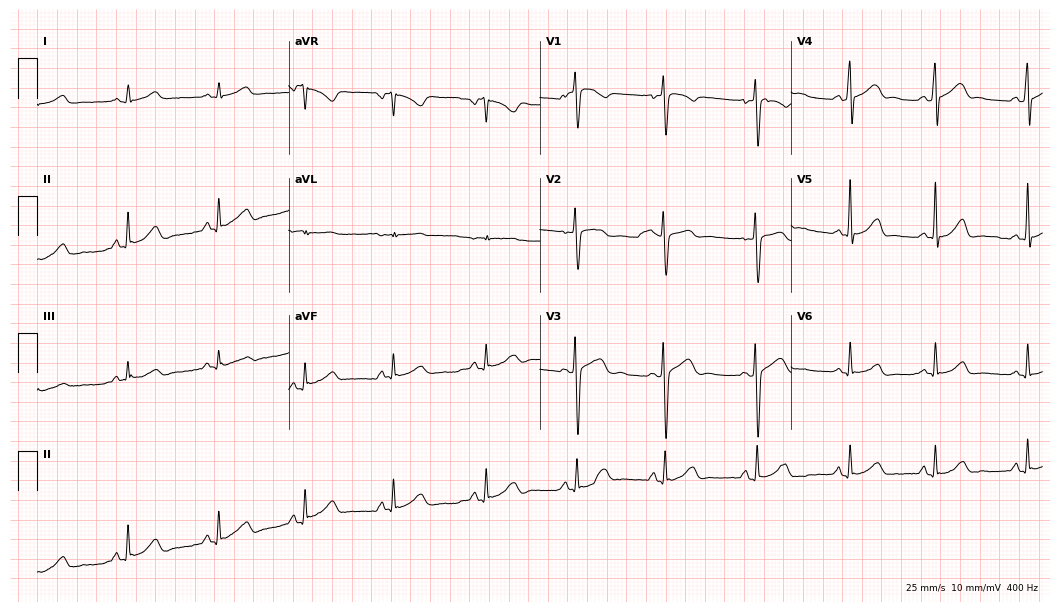
Standard 12-lead ECG recorded from a 17-year-old woman (10.2-second recording at 400 Hz). Read as a normal ECG.